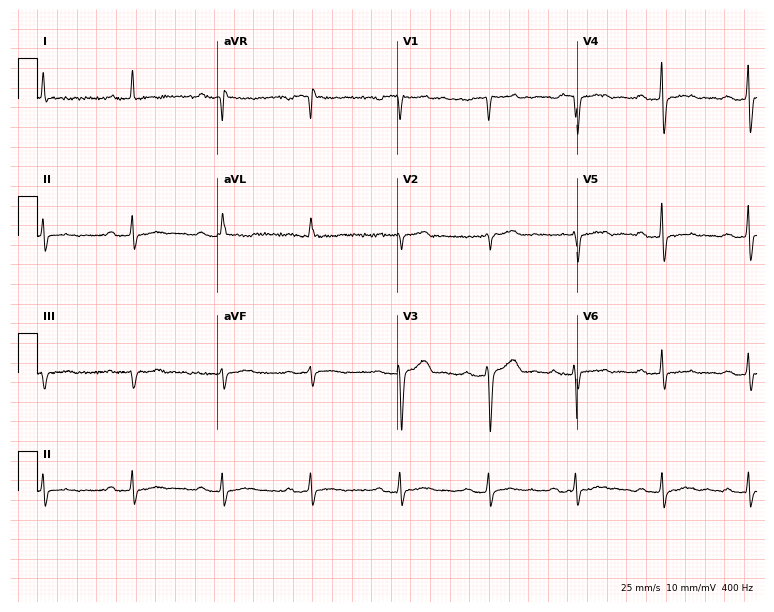
Standard 12-lead ECG recorded from a 74-year-old male. None of these six findings is recorded: first-degree AV block, right bundle branch block, left bundle branch block, sinus bradycardia, atrial fibrillation, sinus tachycardia. Only these six findings were labelled.